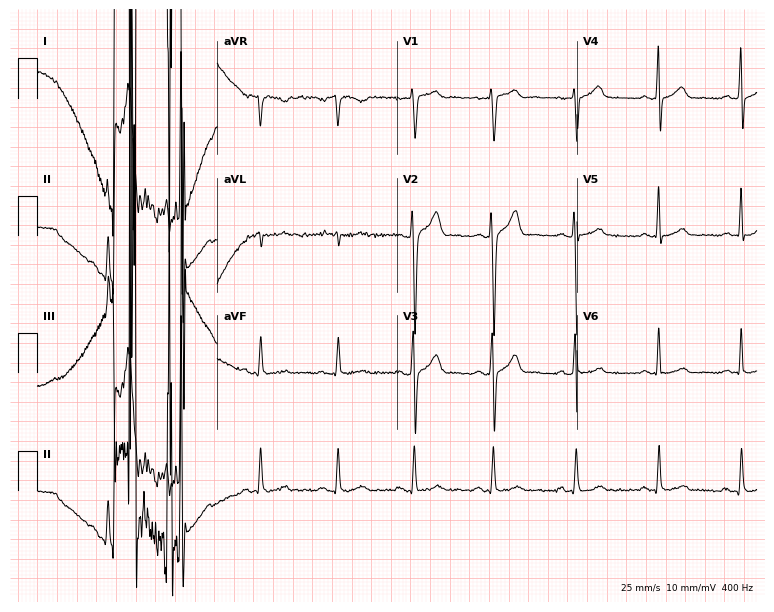
12-lead ECG (7.3-second recording at 400 Hz) from a male, 25 years old. Labelled as a normal ECG.